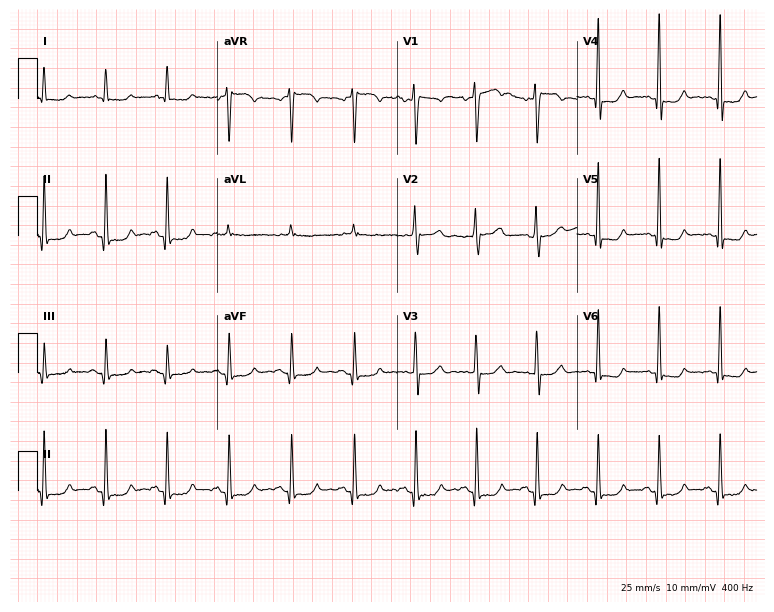
ECG — a 52-year-old male patient. Screened for six findings — first-degree AV block, right bundle branch block (RBBB), left bundle branch block (LBBB), sinus bradycardia, atrial fibrillation (AF), sinus tachycardia — none is recorded. Other findings, if any, are not listed.